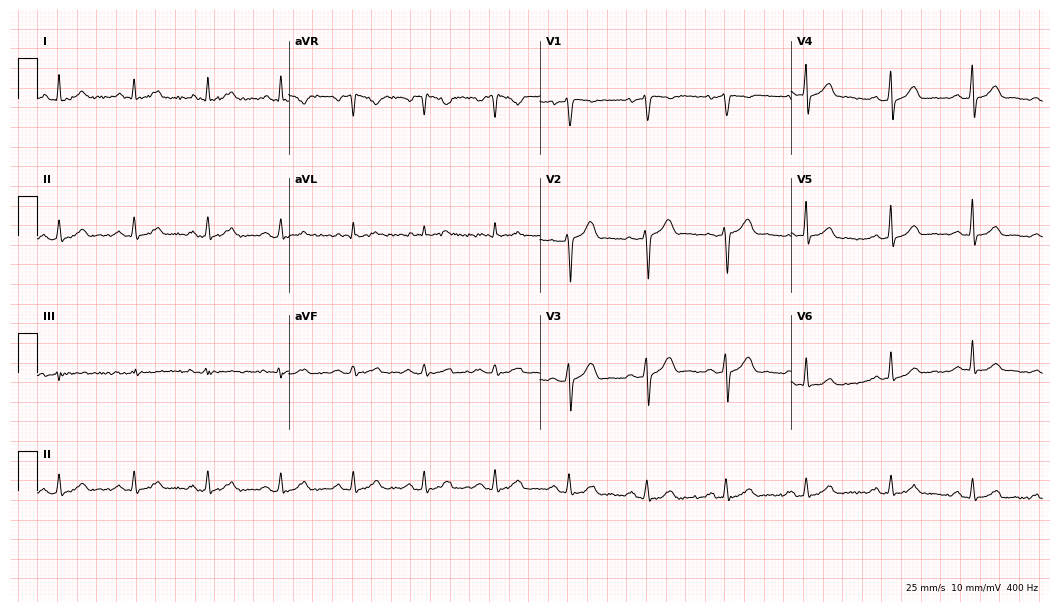
ECG (10.2-second recording at 400 Hz) — a male patient, 52 years old. Labelled as a normal ECG.